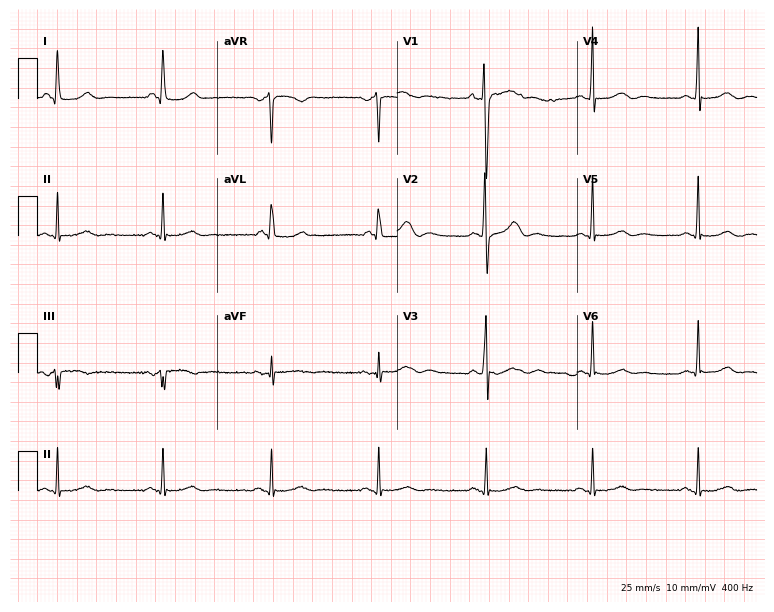
Resting 12-lead electrocardiogram. Patient: a male, 55 years old. Read as a normal ECG.